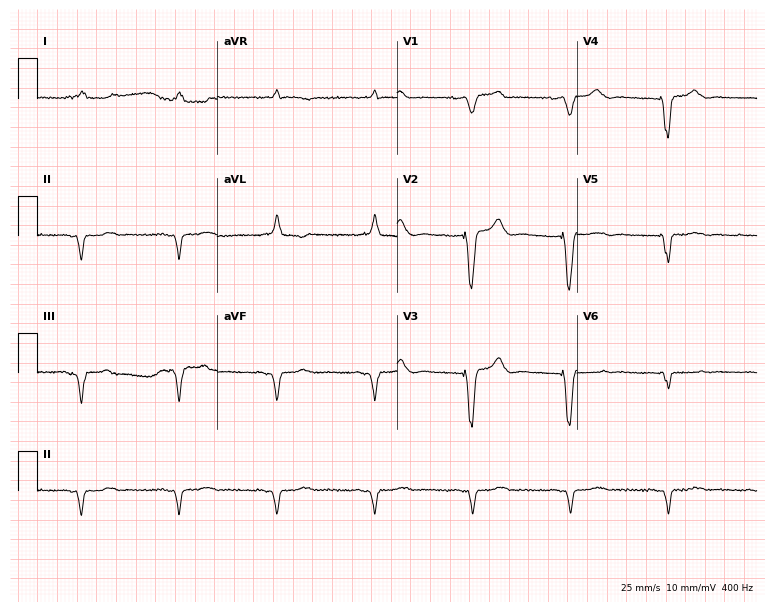
Resting 12-lead electrocardiogram. Patient: a female, 76 years old. None of these six findings is recorded: first-degree AV block, right bundle branch block, left bundle branch block, sinus bradycardia, atrial fibrillation, sinus tachycardia. Only these six findings were labelled.